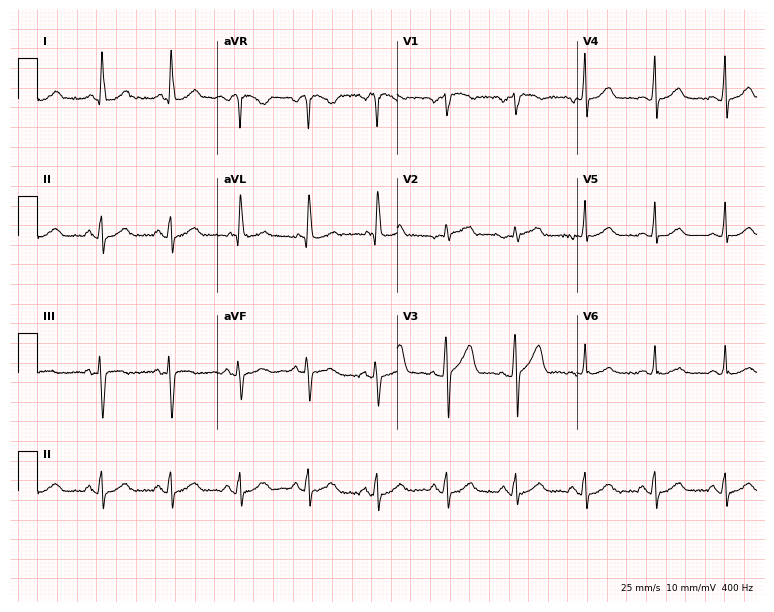
Resting 12-lead electrocardiogram (7.3-second recording at 400 Hz). Patient: a female, 58 years old. Read as a normal ECG.